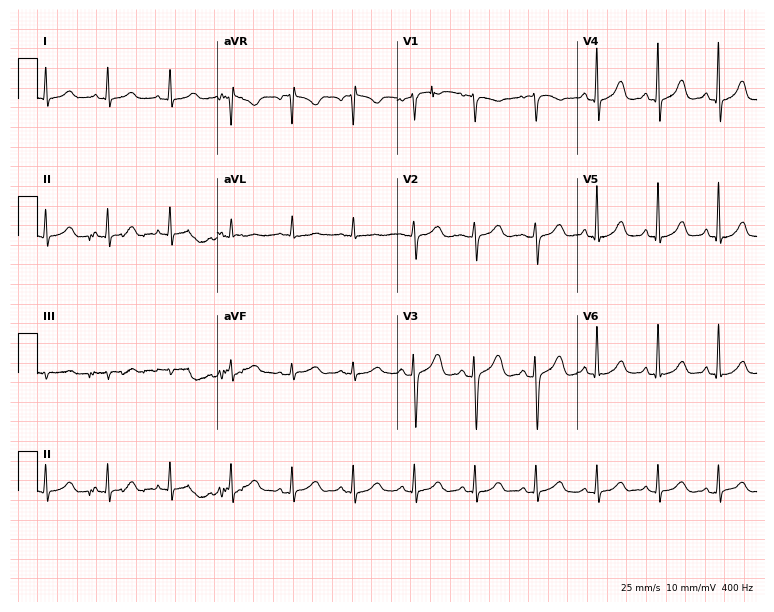
Standard 12-lead ECG recorded from a female patient, 52 years old (7.3-second recording at 400 Hz). Read as a normal ECG.